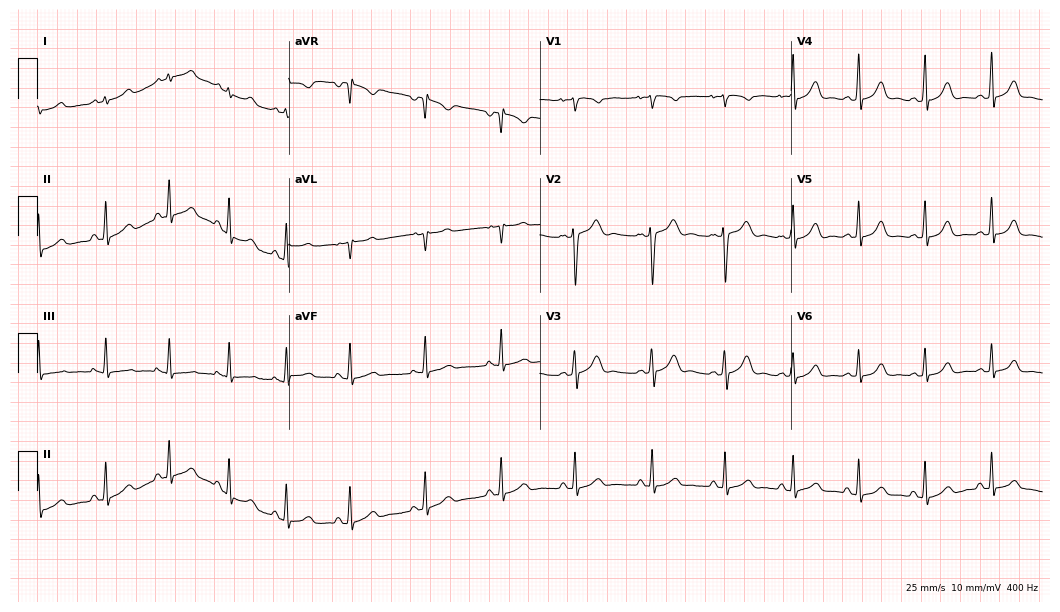
Standard 12-lead ECG recorded from a woman, 20 years old. Read as a normal ECG.